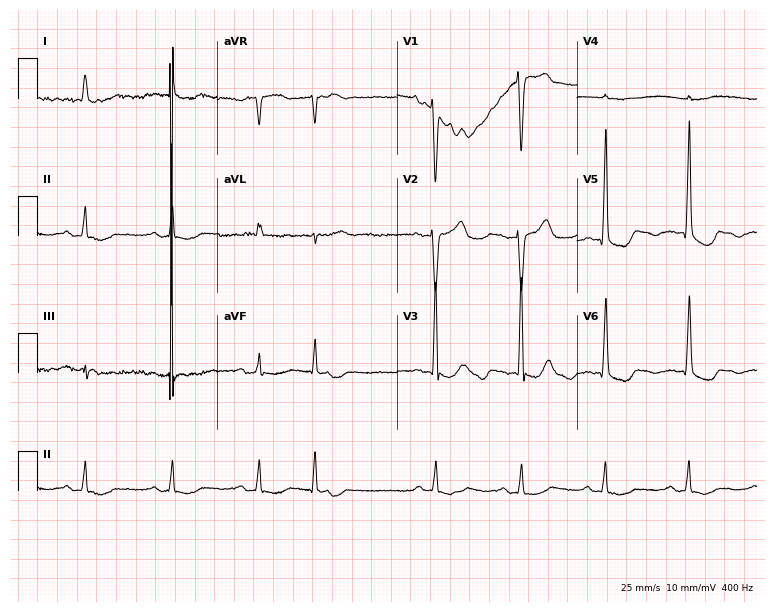
ECG (7.3-second recording at 400 Hz) — a male, 80 years old. Screened for six findings — first-degree AV block, right bundle branch block (RBBB), left bundle branch block (LBBB), sinus bradycardia, atrial fibrillation (AF), sinus tachycardia — none is recorded.